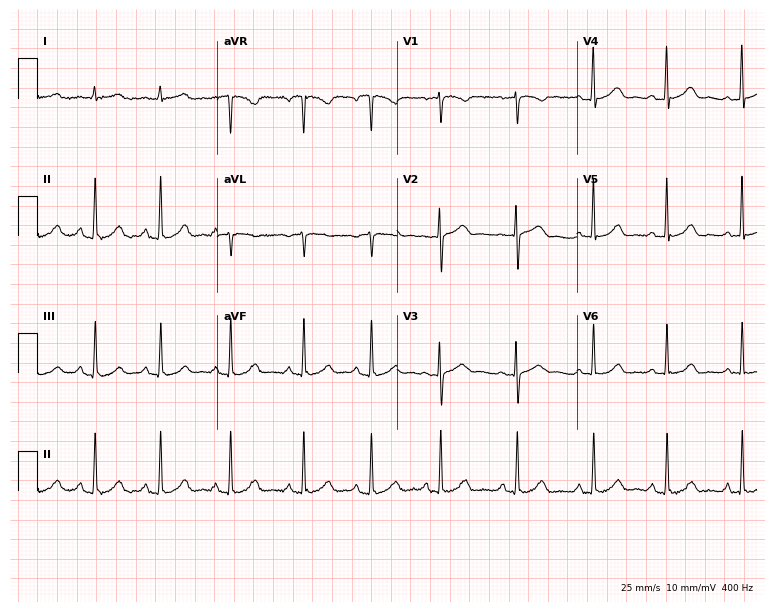
ECG — a 50-year-old female patient. Labelled as a normal ECG.